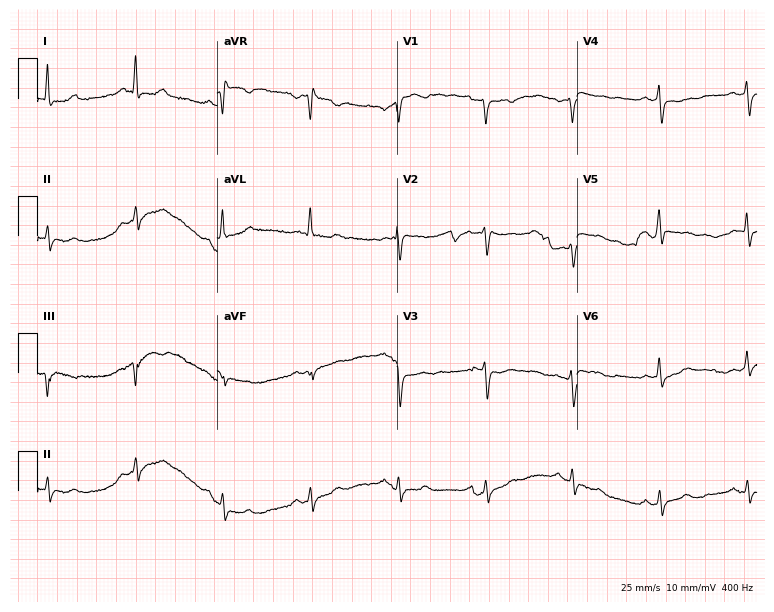
12-lead ECG (7.3-second recording at 400 Hz) from a 57-year-old woman. Screened for six findings — first-degree AV block, right bundle branch block, left bundle branch block, sinus bradycardia, atrial fibrillation, sinus tachycardia — none is recorded. Other findings, if any, are not listed.